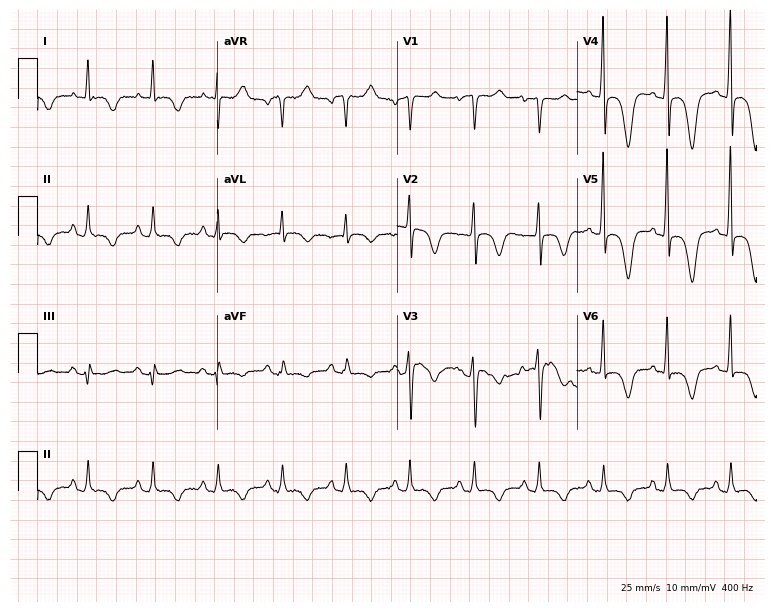
12-lead ECG from a 68-year-old female patient (7.3-second recording at 400 Hz). No first-degree AV block, right bundle branch block (RBBB), left bundle branch block (LBBB), sinus bradycardia, atrial fibrillation (AF) or sinus tachycardia recorded for this tracing.